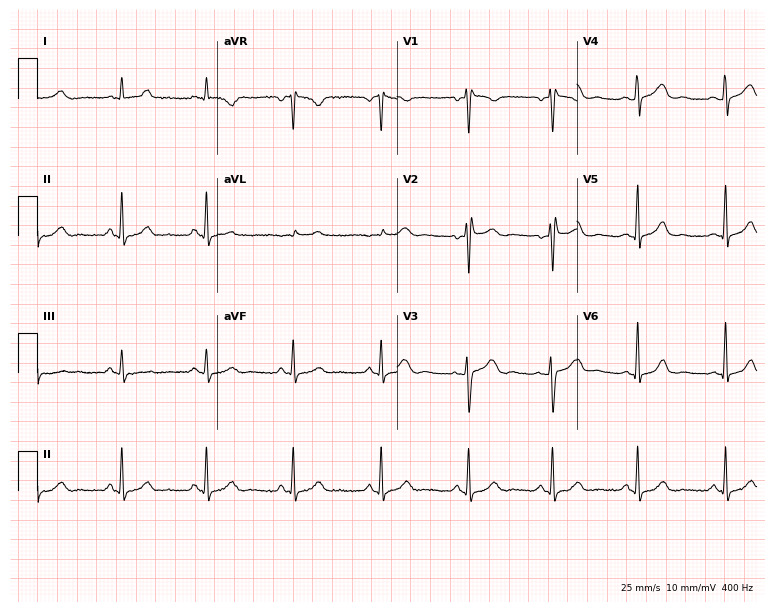
12-lead ECG from a woman, 41 years old. Labelled as a normal ECG.